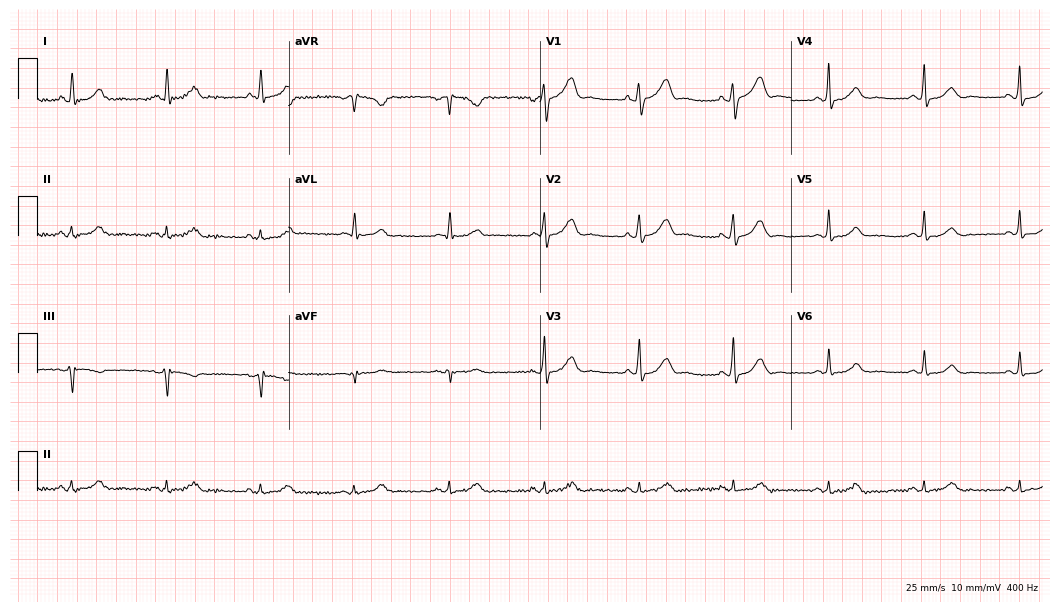
ECG (10.2-second recording at 400 Hz) — a male, 63 years old. Labelled as a normal ECG.